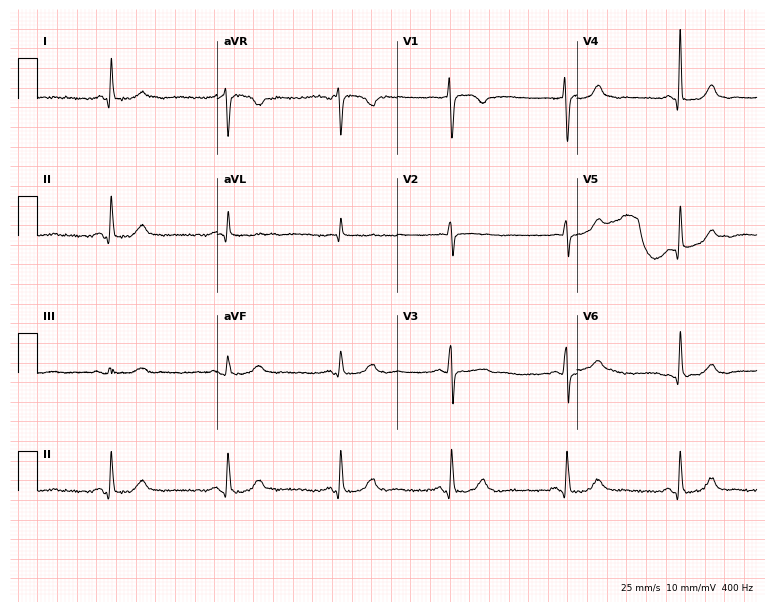
12-lead ECG from a 77-year-old woman (7.3-second recording at 400 Hz). Recorded interpretation: within normal limits.